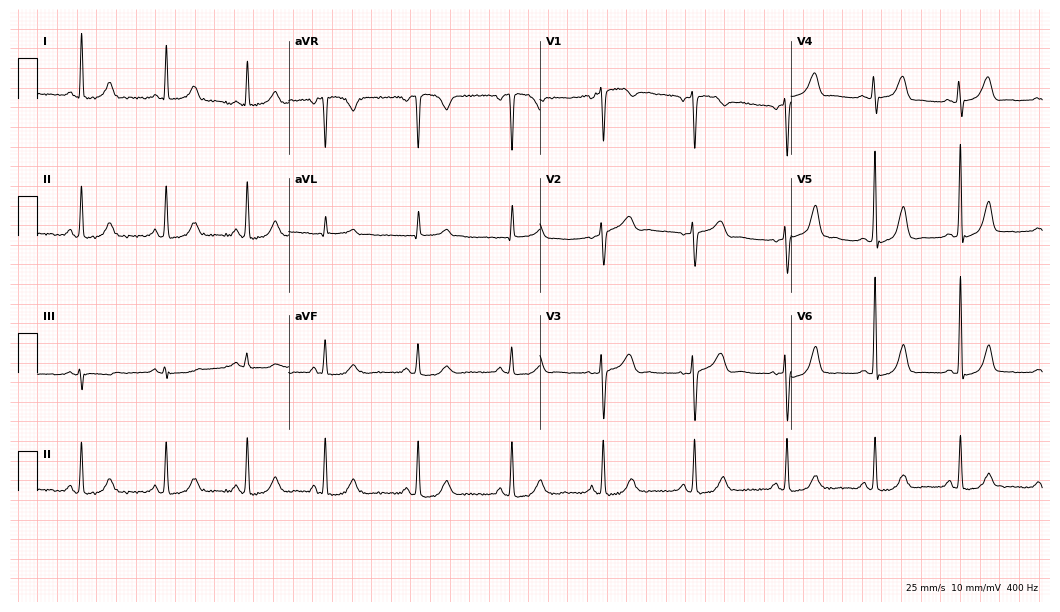
12-lead ECG from a 58-year-old woman. Labelled as a normal ECG.